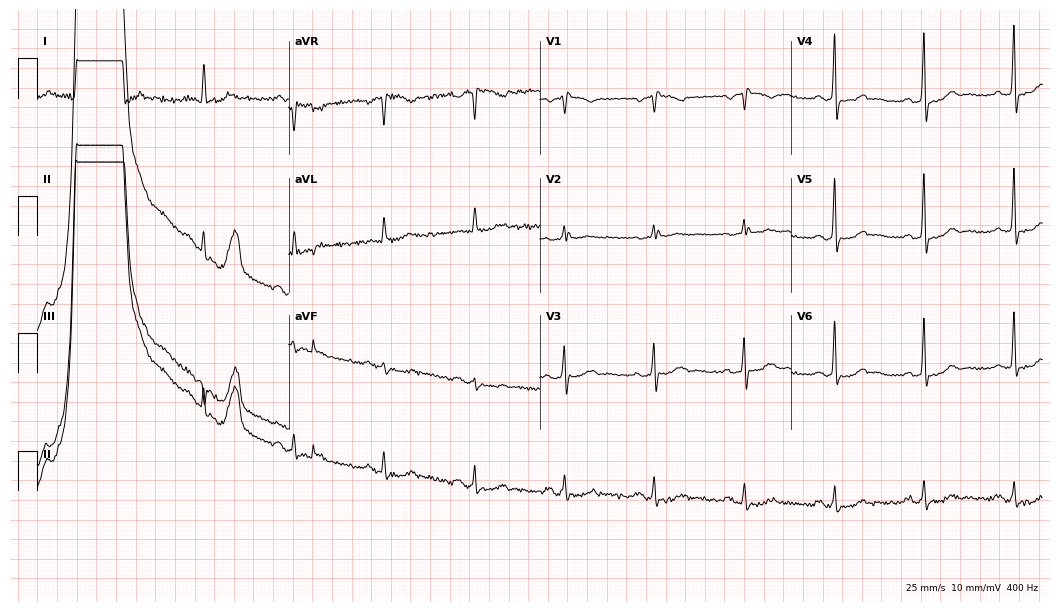
Resting 12-lead electrocardiogram. Patient: a 72-year-old male. None of these six findings is recorded: first-degree AV block, right bundle branch block, left bundle branch block, sinus bradycardia, atrial fibrillation, sinus tachycardia.